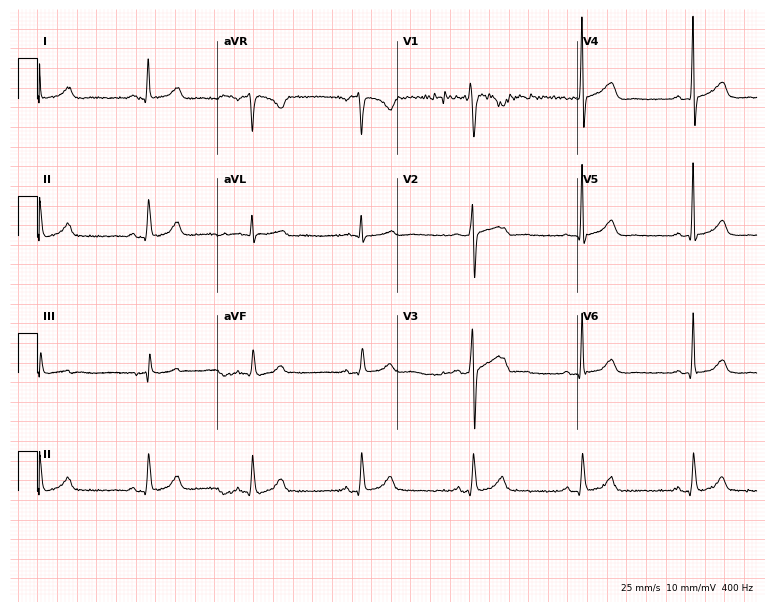
Standard 12-lead ECG recorded from a 49-year-old man (7.3-second recording at 400 Hz). None of these six findings is recorded: first-degree AV block, right bundle branch block (RBBB), left bundle branch block (LBBB), sinus bradycardia, atrial fibrillation (AF), sinus tachycardia. Other findings, if any, are not listed.